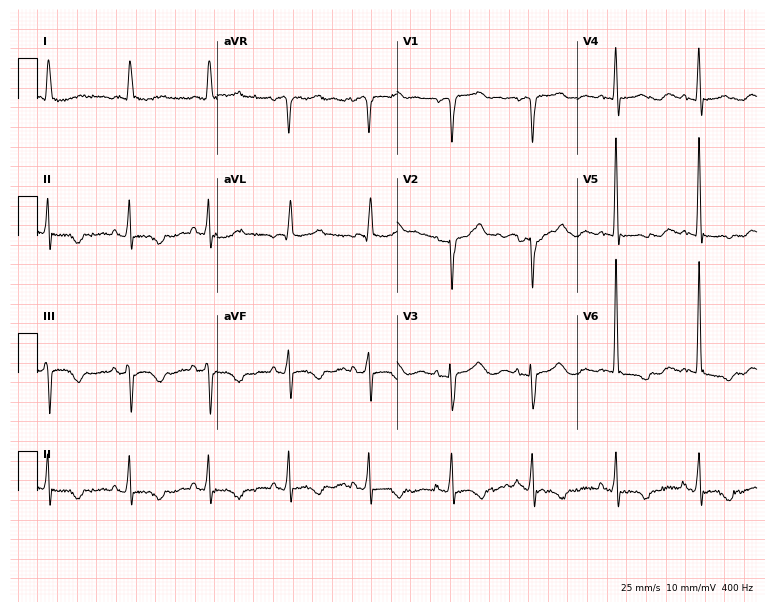
ECG (7.3-second recording at 400 Hz) — a 79-year-old female. Screened for six findings — first-degree AV block, right bundle branch block (RBBB), left bundle branch block (LBBB), sinus bradycardia, atrial fibrillation (AF), sinus tachycardia — none is recorded. Other findings, if any, are not listed.